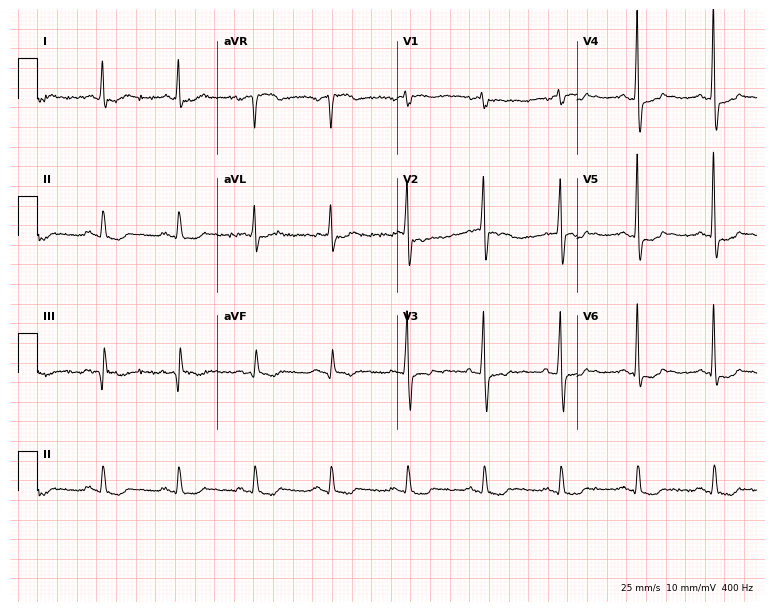
Electrocardiogram, a male, 72 years old. Of the six screened findings (first-degree AV block, right bundle branch block, left bundle branch block, sinus bradycardia, atrial fibrillation, sinus tachycardia), none is recorded.